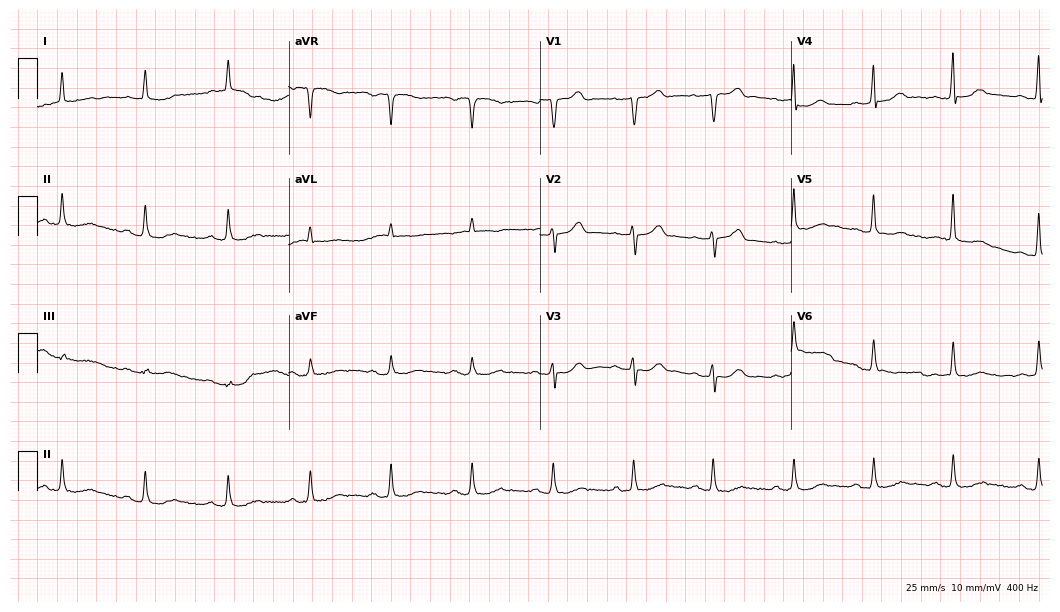
12-lead ECG from a 72-year-old male (10.2-second recording at 400 Hz). Recorded interpretation: within normal limits.